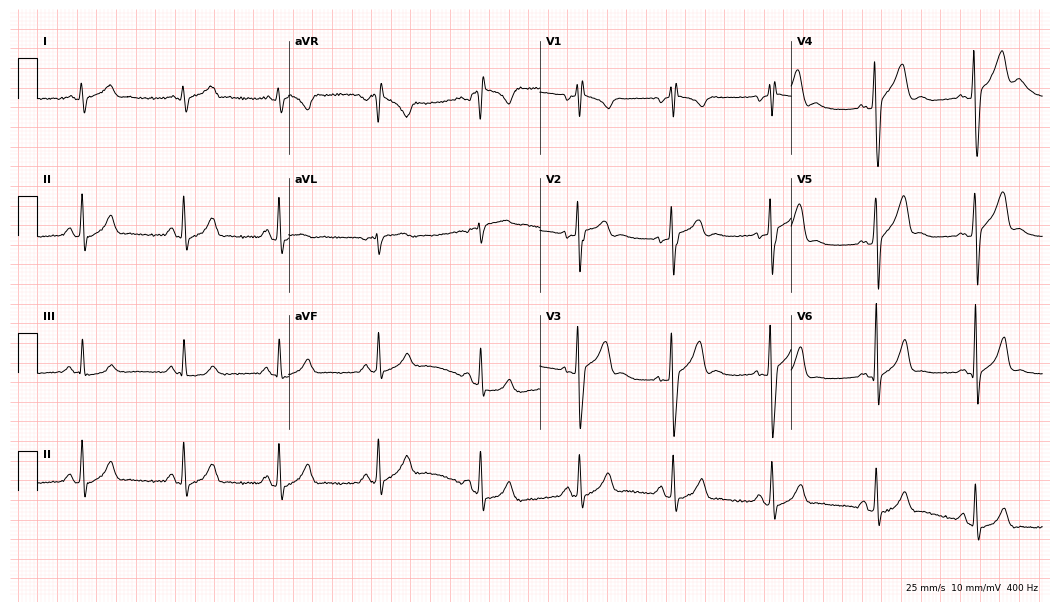
Electrocardiogram, a 29-year-old man. Of the six screened findings (first-degree AV block, right bundle branch block (RBBB), left bundle branch block (LBBB), sinus bradycardia, atrial fibrillation (AF), sinus tachycardia), none is recorded. Only these six findings were labelled.